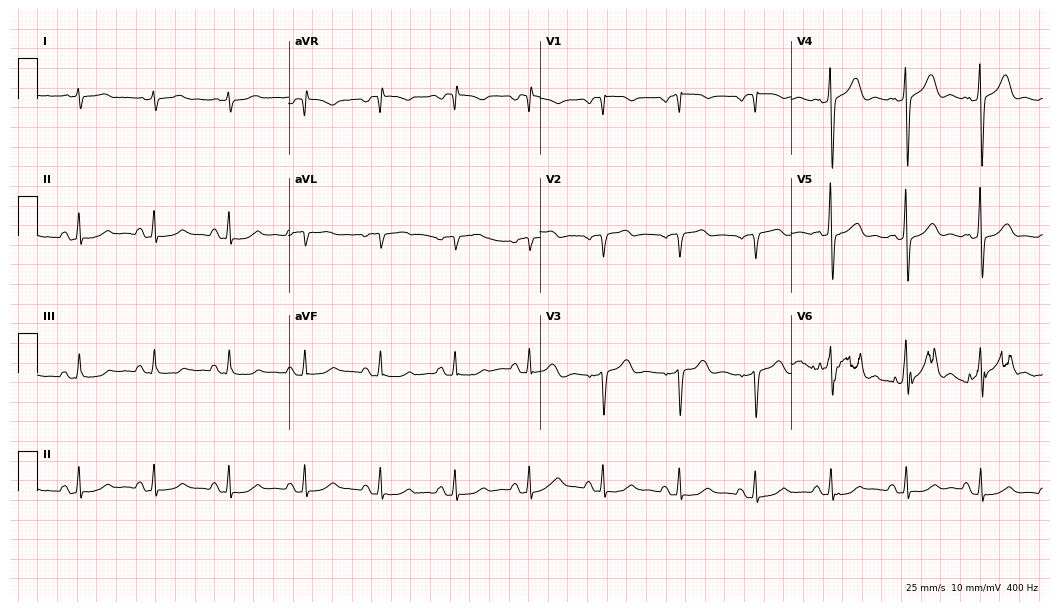
12-lead ECG from an 85-year-old male. Screened for six findings — first-degree AV block, right bundle branch block, left bundle branch block, sinus bradycardia, atrial fibrillation, sinus tachycardia — none is recorded. Only these six findings were labelled.